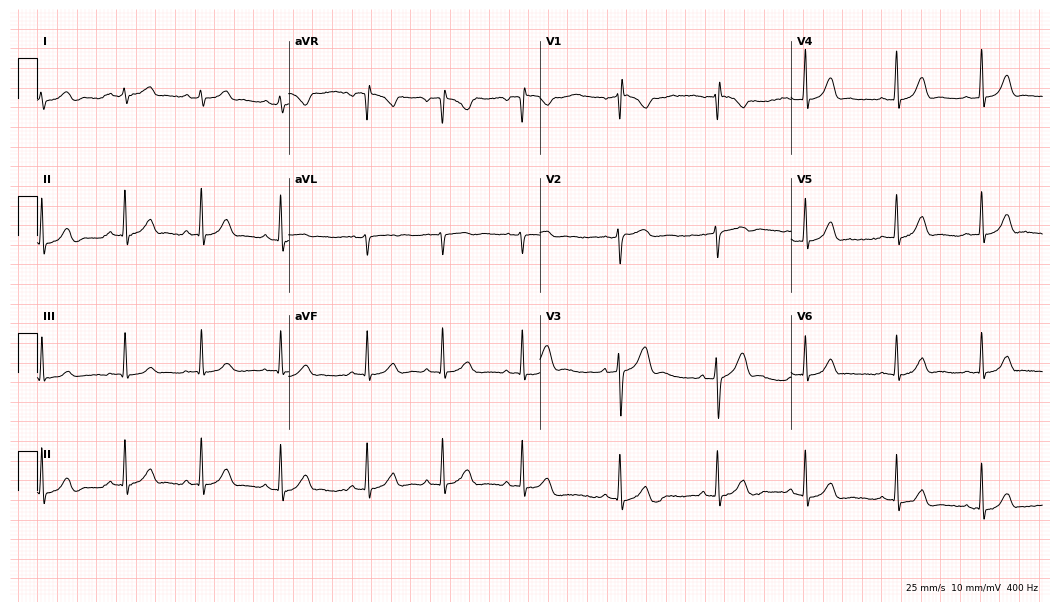
12-lead ECG (10.2-second recording at 400 Hz) from a female patient, 17 years old. Labelled as a normal ECG.